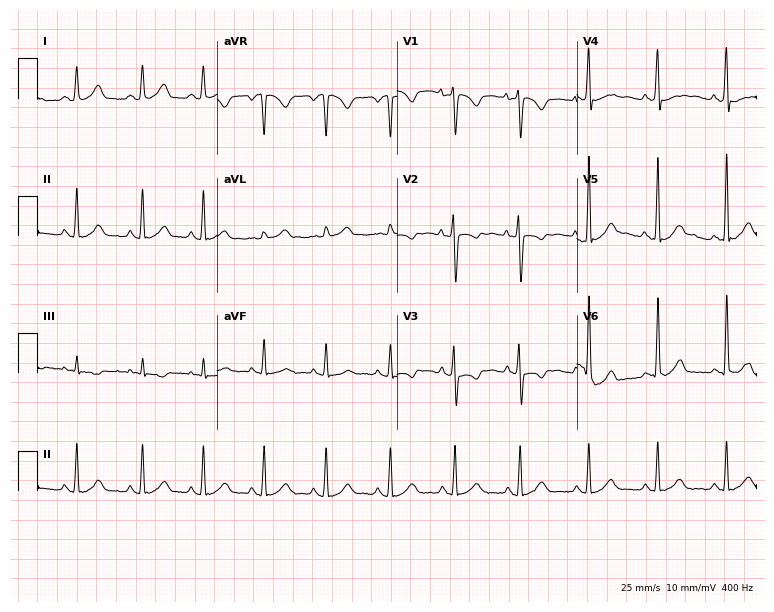
12-lead ECG from a female patient, 28 years old. No first-degree AV block, right bundle branch block, left bundle branch block, sinus bradycardia, atrial fibrillation or sinus tachycardia recorded for this tracing.